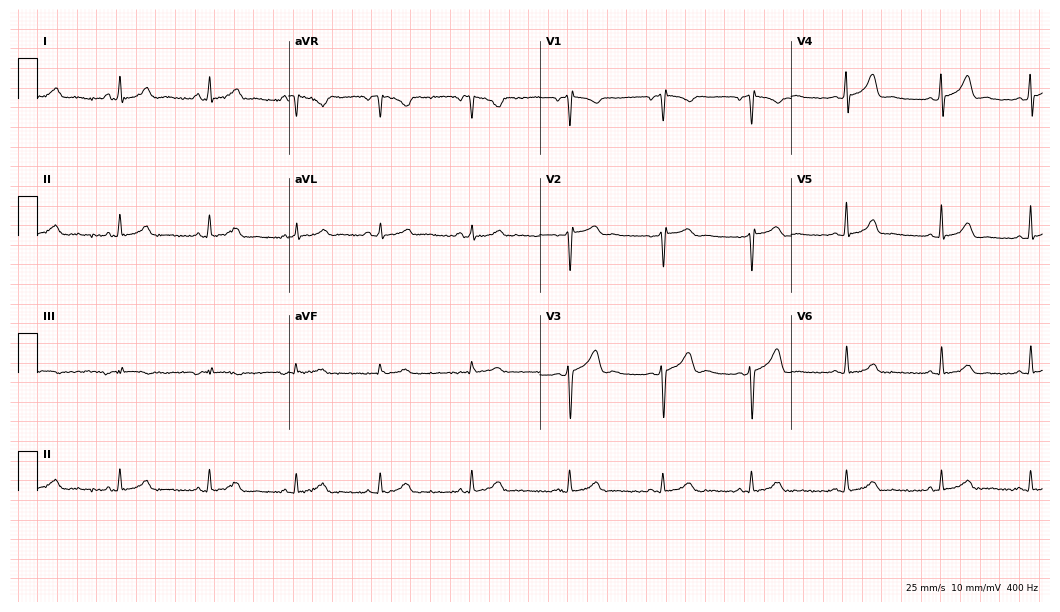
Electrocardiogram, a female patient, 33 years old. Overall reading on record: normal ECG.